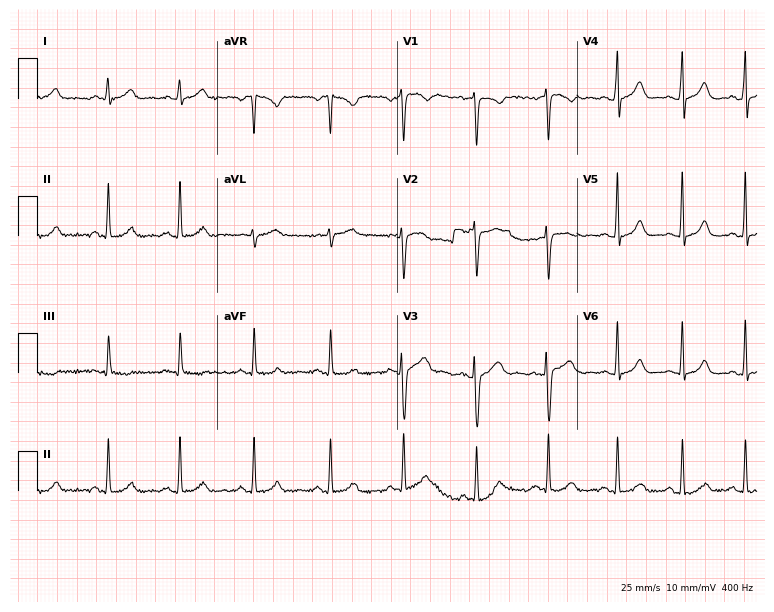
Standard 12-lead ECG recorded from a woman, 39 years old (7.3-second recording at 400 Hz). None of these six findings is recorded: first-degree AV block, right bundle branch block, left bundle branch block, sinus bradycardia, atrial fibrillation, sinus tachycardia.